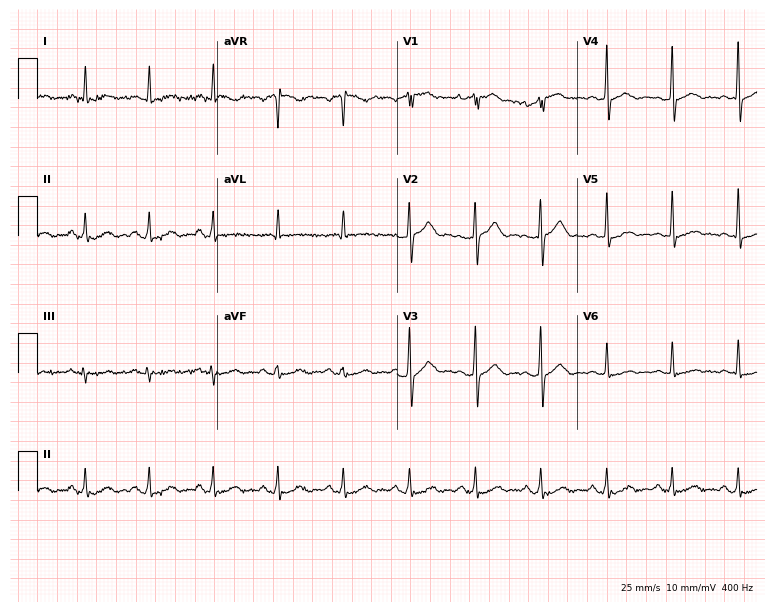
12-lead ECG from a 59-year-old man (7.3-second recording at 400 Hz). No first-degree AV block, right bundle branch block, left bundle branch block, sinus bradycardia, atrial fibrillation or sinus tachycardia recorded for this tracing. Other findings, if any, are not listed.